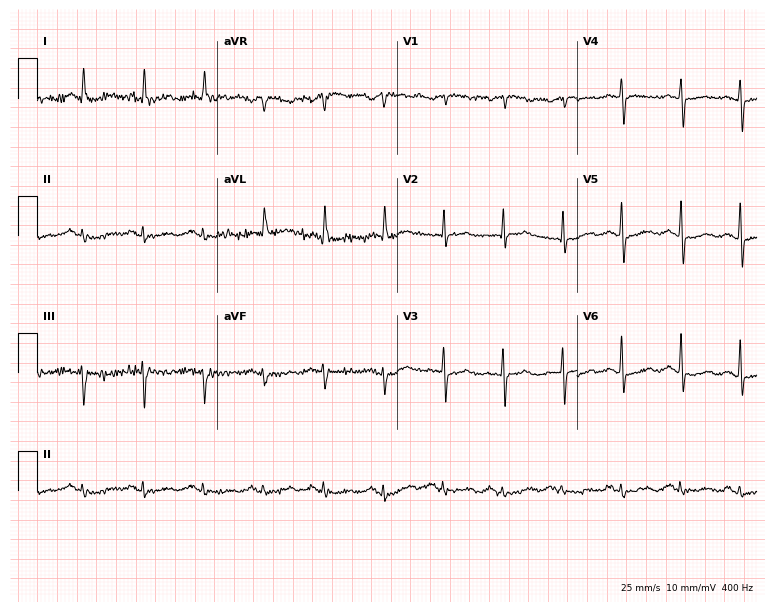
Standard 12-lead ECG recorded from a male patient, 75 years old (7.3-second recording at 400 Hz). Read as a normal ECG.